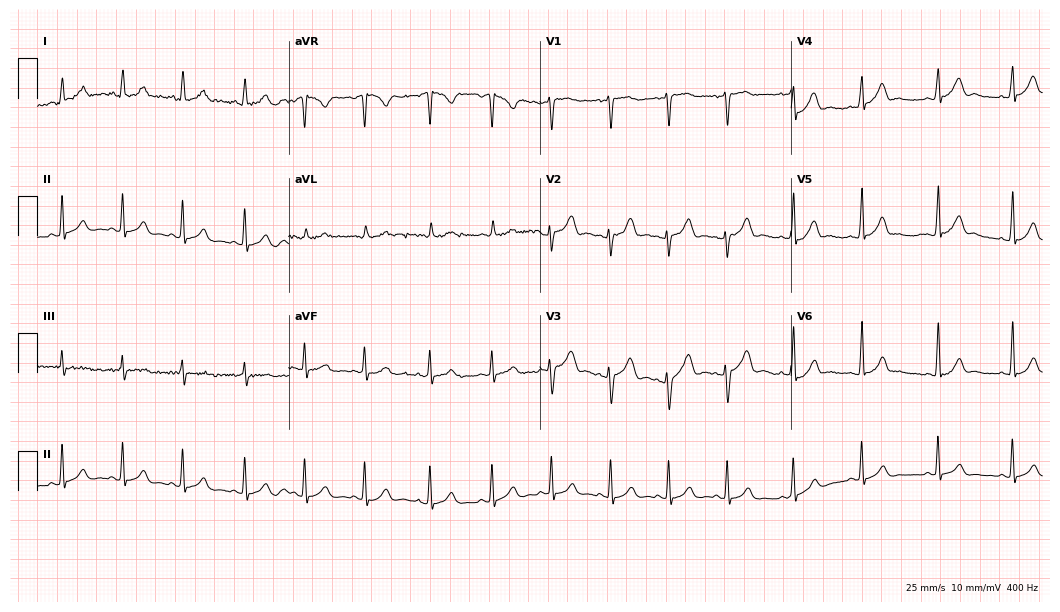
ECG (10.2-second recording at 400 Hz) — a 17-year-old man. Labelled as a normal ECG.